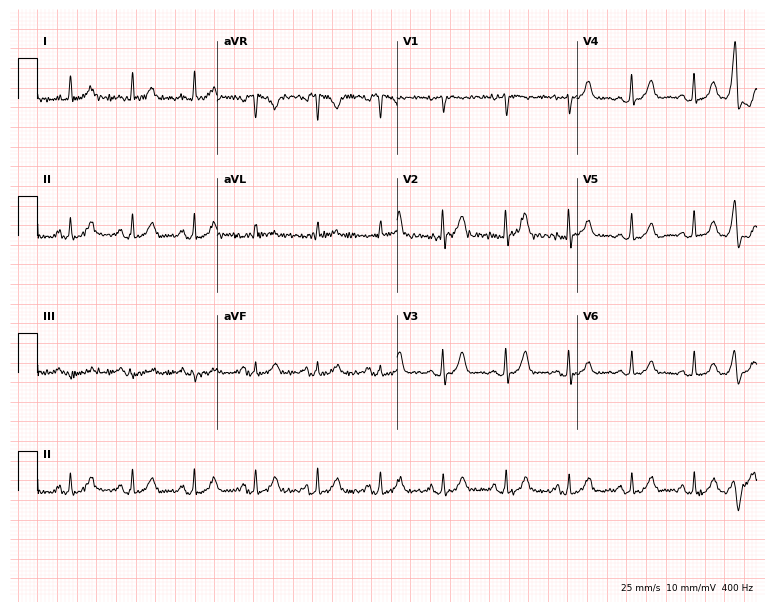
ECG — a 63-year-old female patient. Screened for six findings — first-degree AV block, right bundle branch block, left bundle branch block, sinus bradycardia, atrial fibrillation, sinus tachycardia — none is recorded. Findings outside these six are not listed.